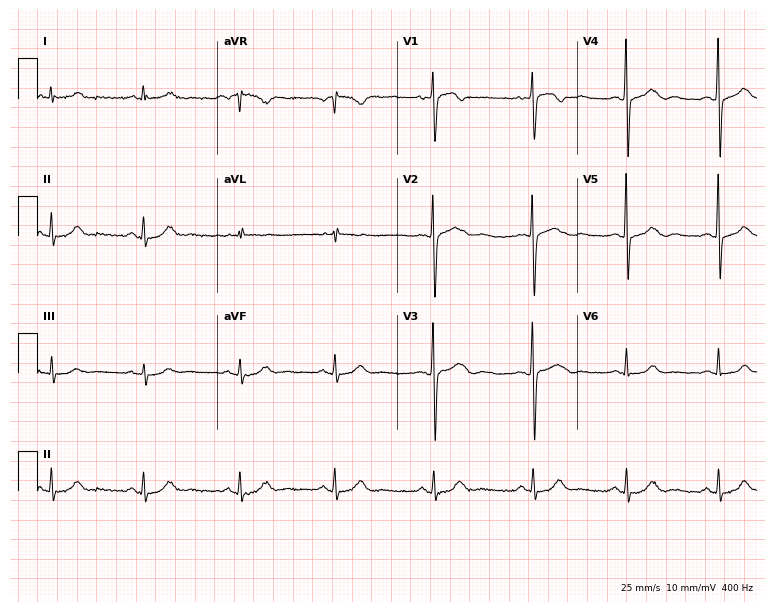
Resting 12-lead electrocardiogram. Patient: a female, 57 years old. Read as a normal ECG.